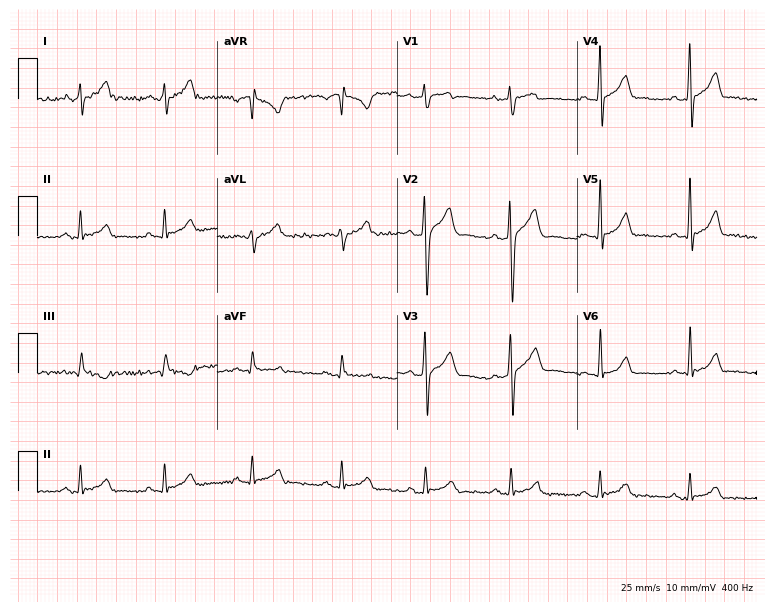
12-lead ECG from a man, 29 years old. No first-degree AV block, right bundle branch block (RBBB), left bundle branch block (LBBB), sinus bradycardia, atrial fibrillation (AF) or sinus tachycardia recorded for this tracing. Only these six findings were labelled.